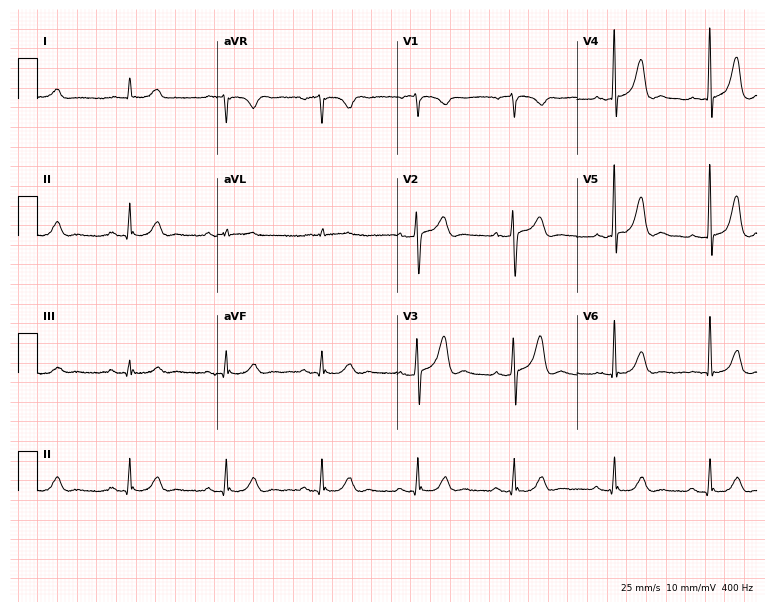
12-lead ECG from a male patient, 83 years old. Labelled as a normal ECG.